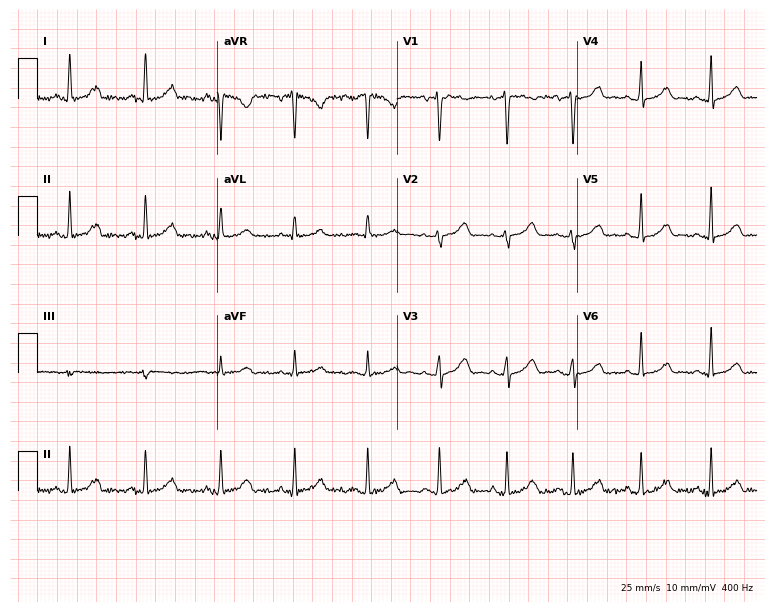
12-lead ECG (7.3-second recording at 400 Hz) from a woman, 51 years old. Screened for six findings — first-degree AV block, right bundle branch block, left bundle branch block, sinus bradycardia, atrial fibrillation, sinus tachycardia — none is recorded. Other findings, if any, are not listed.